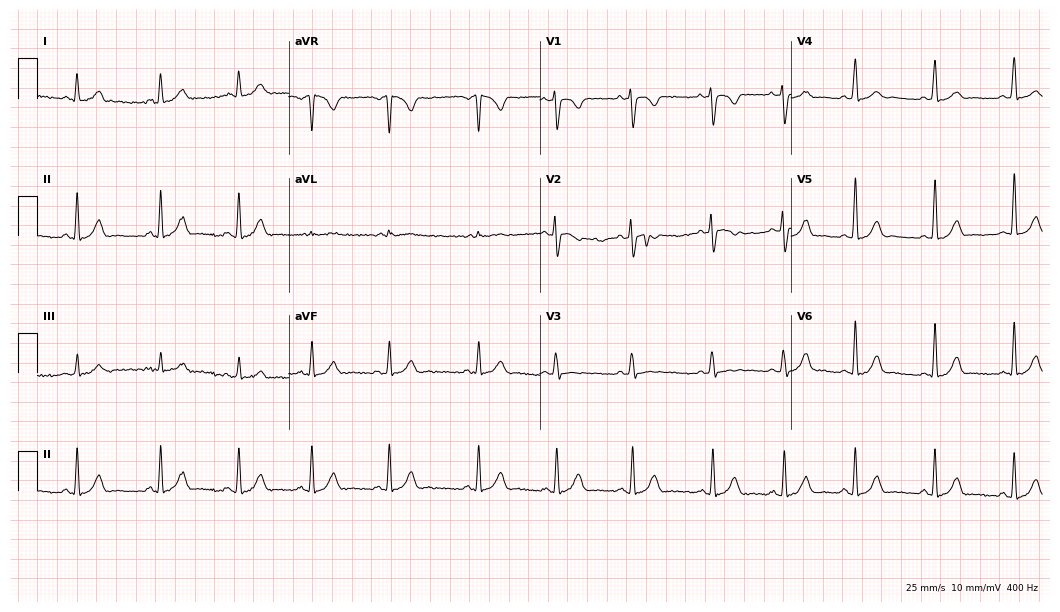
12-lead ECG from a female patient, 20 years old (10.2-second recording at 400 Hz). Recorded interpretation: within normal limits.